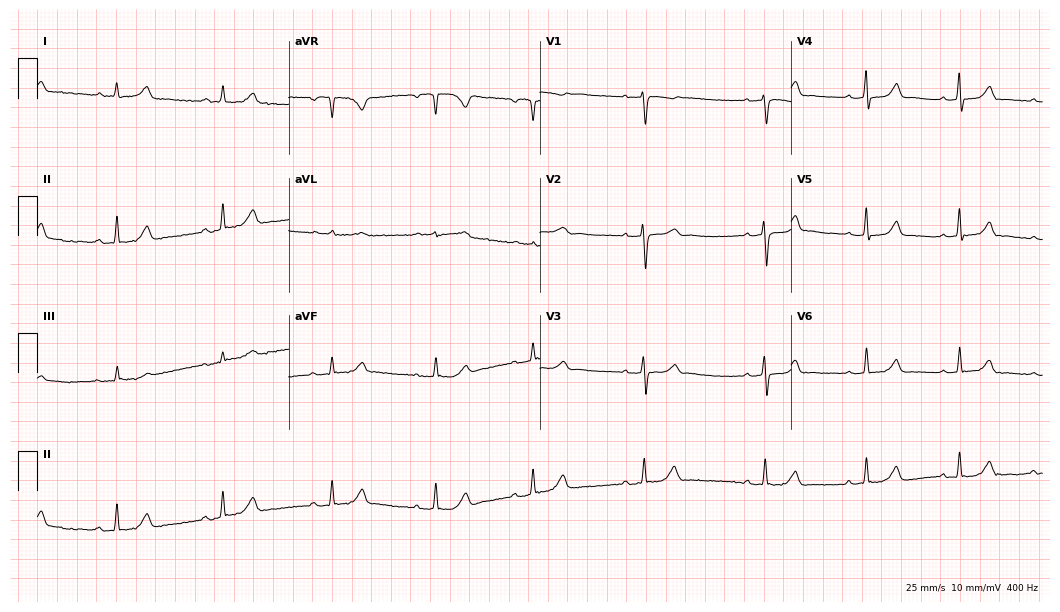
12-lead ECG from a woman, 42 years old. Recorded interpretation: within normal limits.